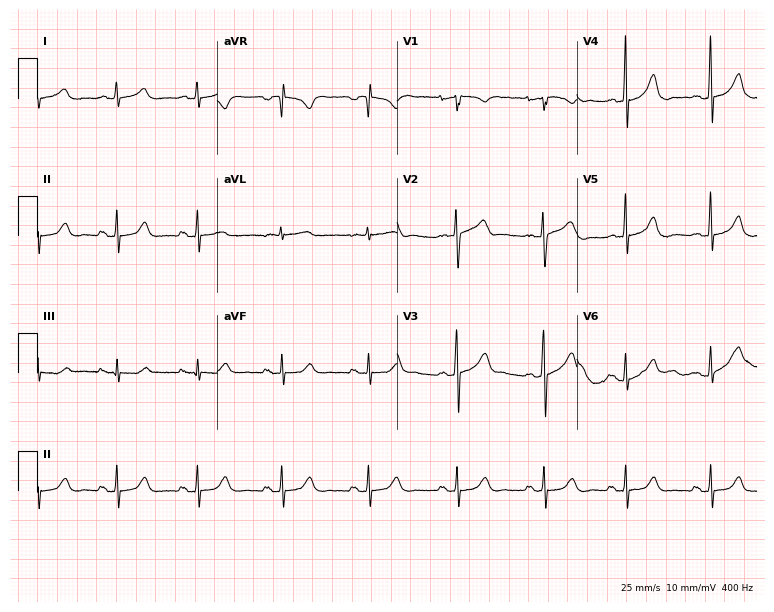
Electrocardiogram (7.3-second recording at 400 Hz), a 41-year-old female. Overall reading on record: normal ECG.